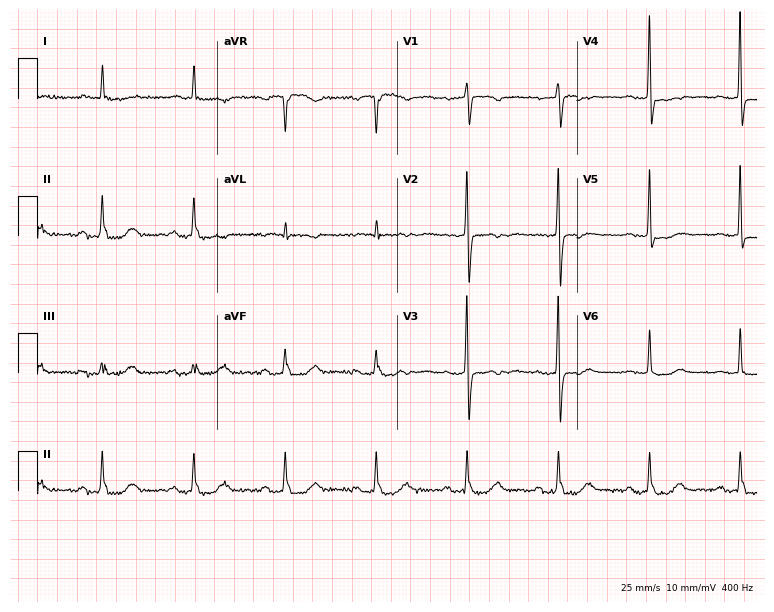
ECG — an 85-year-old female patient. Findings include first-degree AV block.